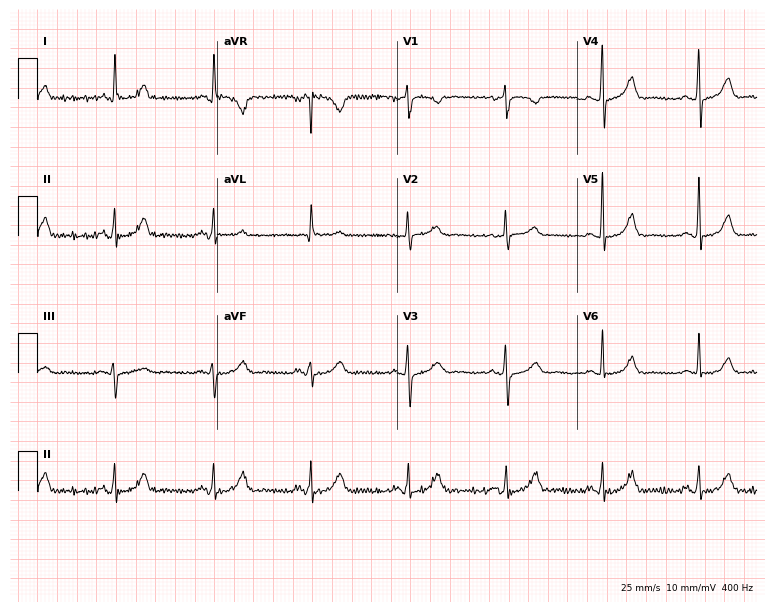
12-lead ECG from a female, 72 years old. Labelled as a normal ECG.